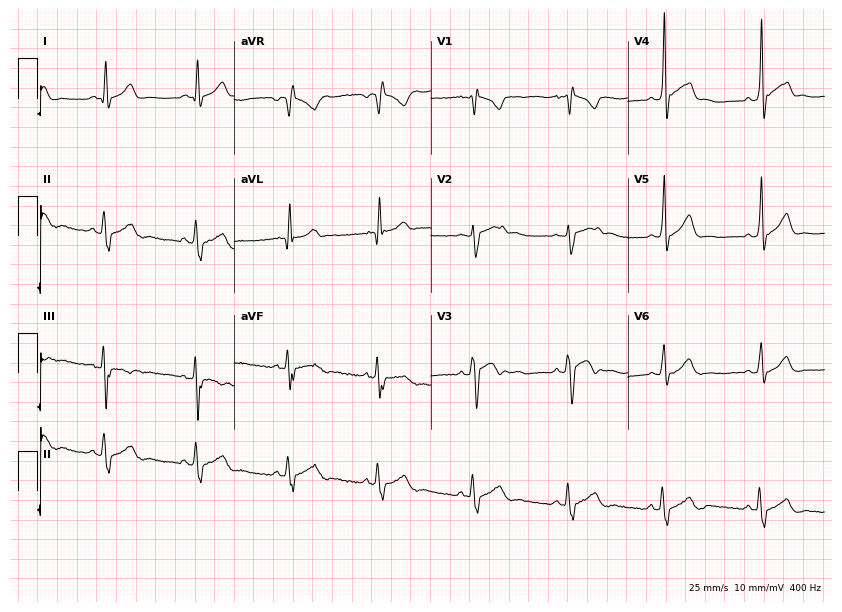
ECG — a male patient, 17 years old. Screened for six findings — first-degree AV block, right bundle branch block (RBBB), left bundle branch block (LBBB), sinus bradycardia, atrial fibrillation (AF), sinus tachycardia — none is recorded.